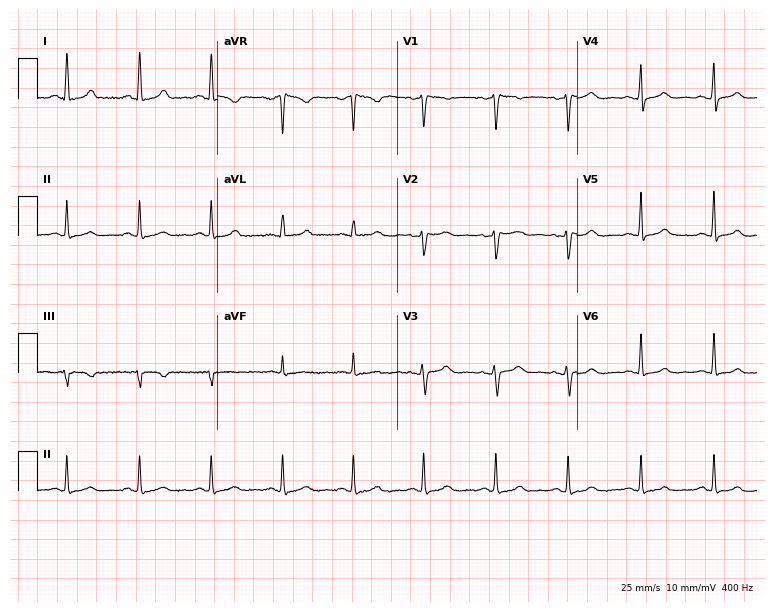
12-lead ECG from a female, 41 years old. No first-degree AV block, right bundle branch block, left bundle branch block, sinus bradycardia, atrial fibrillation or sinus tachycardia recorded for this tracing. Other findings, if any, are not listed.